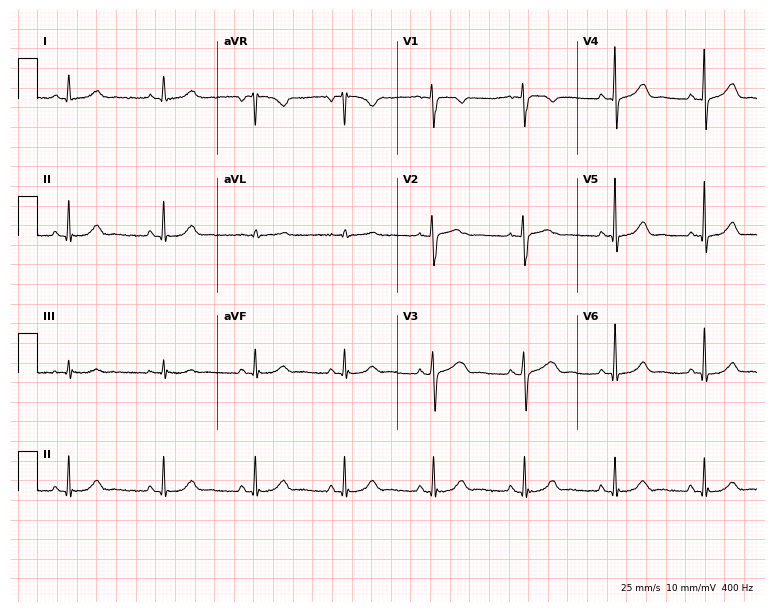
12-lead ECG from a 46-year-old woman. Screened for six findings — first-degree AV block, right bundle branch block, left bundle branch block, sinus bradycardia, atrial fibrillation, sinus tachycardia — none is recorded.